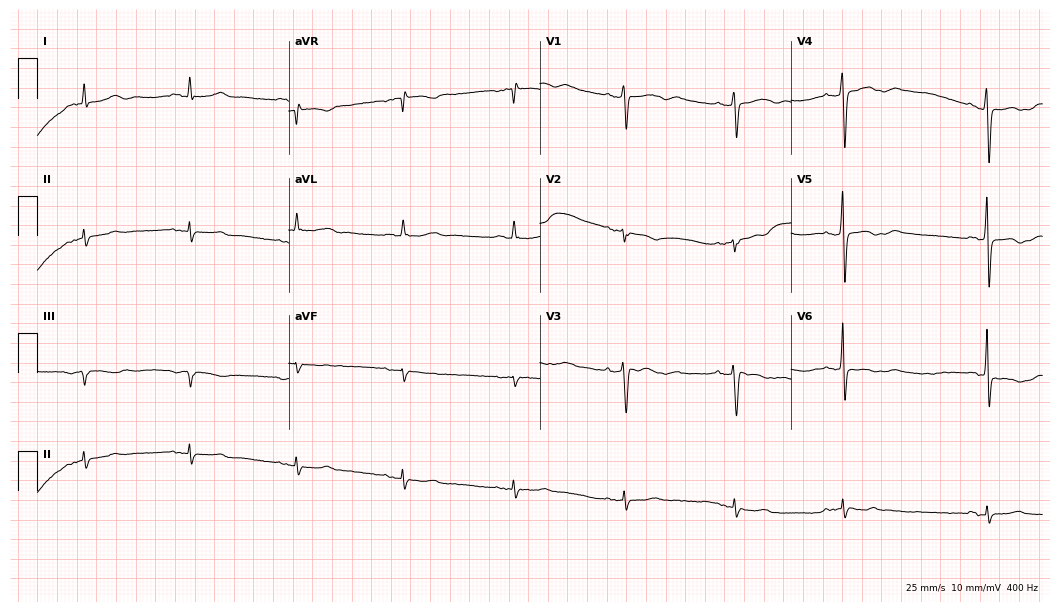
Standard 12-lead ECG recorded from a 77-year-old female patient (10.2-second recording at 400 Hz). None of these six findings is recorded: first-degree AV block, right bundle branch block, left bundle branch block, sinus bradycardia, atrial fibrillation, sinus tachycardia. Only these six findings were labelled.